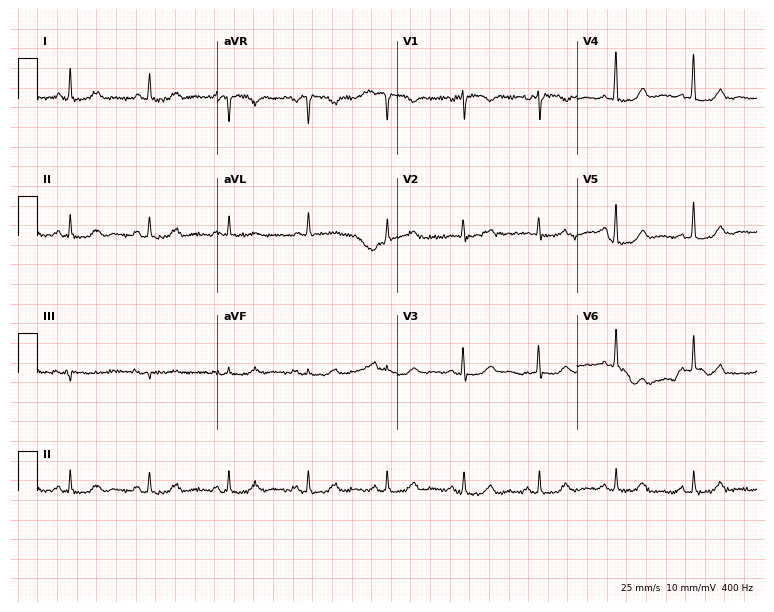
ECG (7.3-second recording at 400 Hz) — a 63-year-old woman. Labelled as a normal ECG.